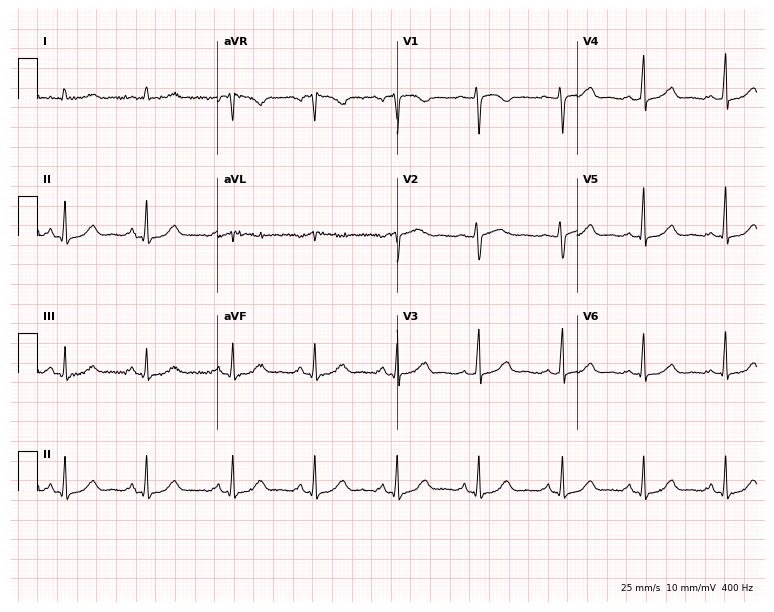
Electrocardiogram, a woman, 63 years old. Overall reading on record: normal ECG.